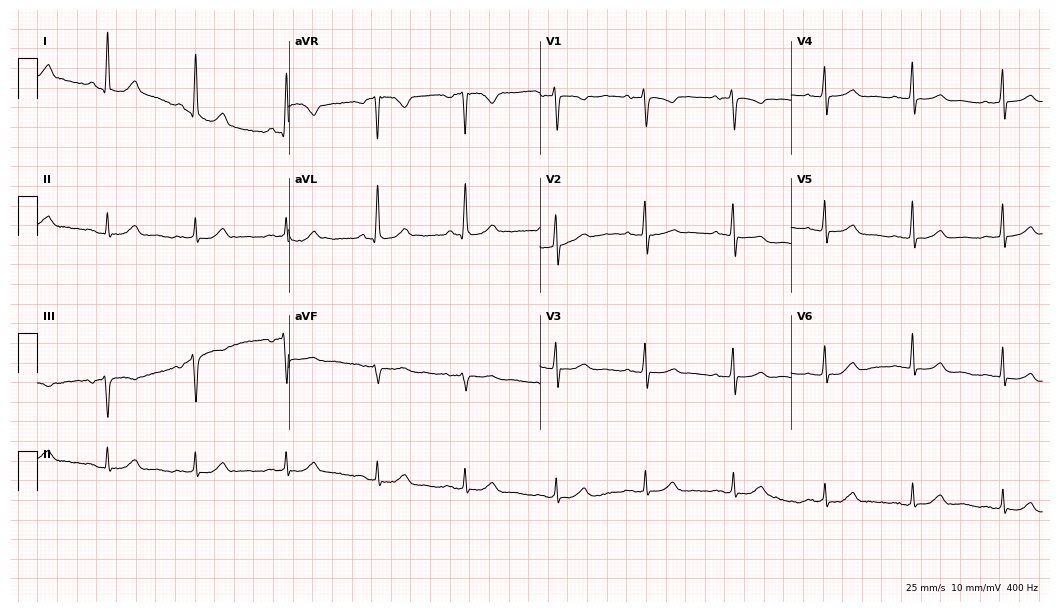
Resting 12-lead electrocardiogram (10.2-second recording at 400 Hz). Patient: a 73-year-old woman. Read as a normal ECG.